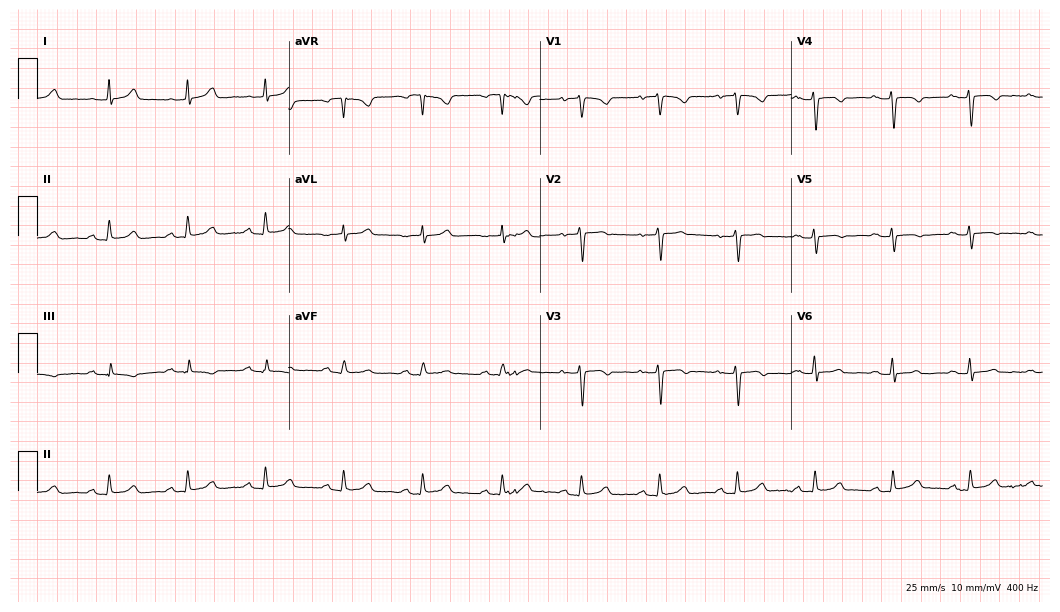
12-lead ECG from a 66-year-old female. Labelled as a normal ECG.